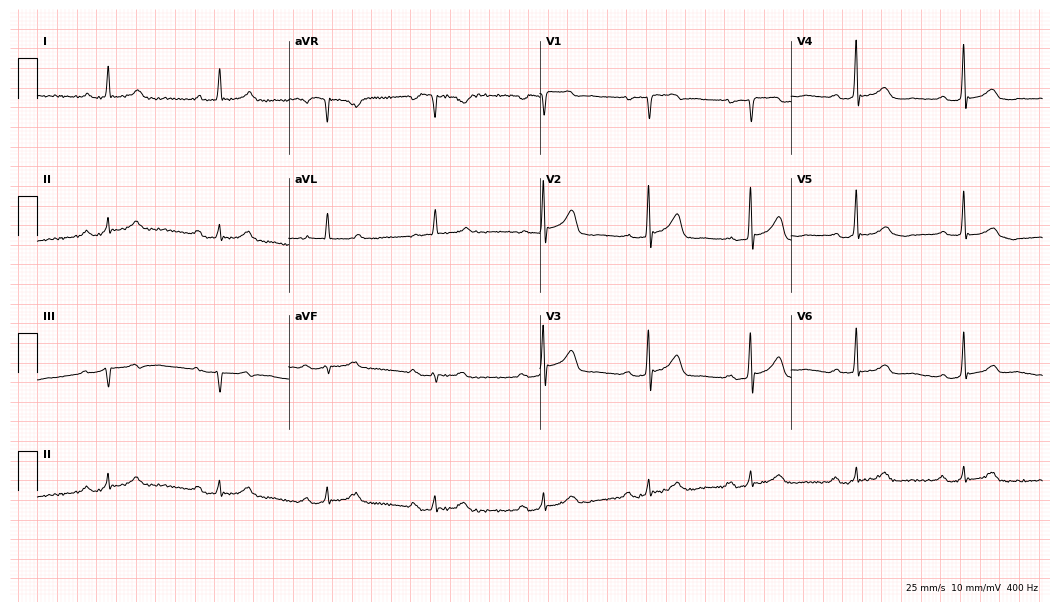
12-lead ECG from a 71-year-old female (10.2-second recording at 400 Hz). Shows first-degree AV block.